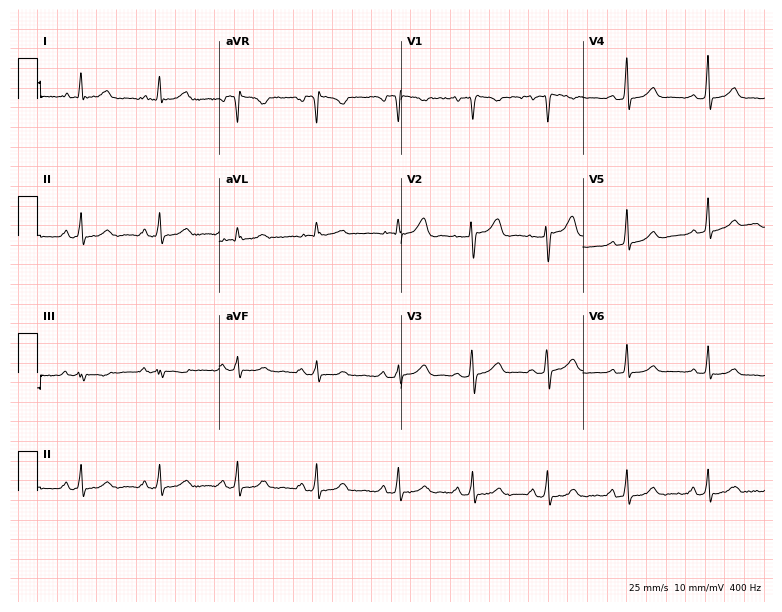
Electrocardiogram (7.4-second recording at 400 Hz), a 37-year-old female. Overall reading on record: normal ECG.